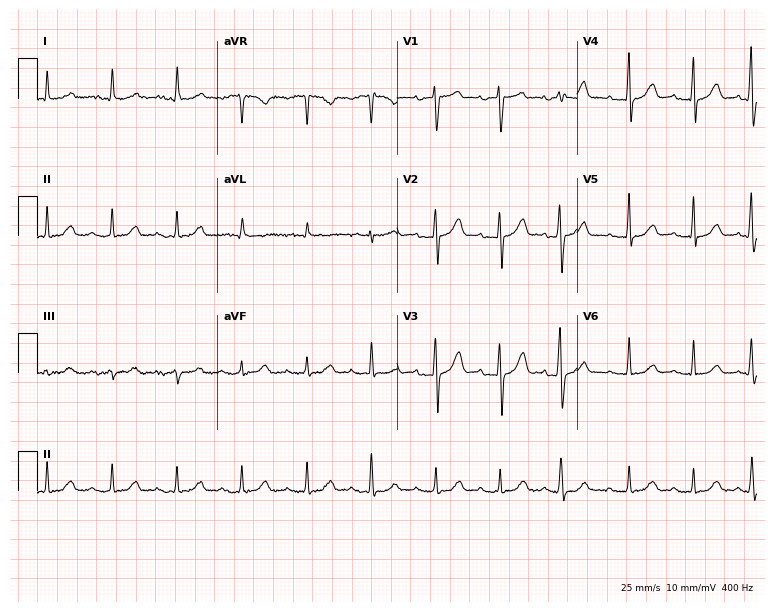
12-lead ECG from a 78-year-old female patient (7.3-second recording at 400 Hz). Recorded interpretation: within normal limits.